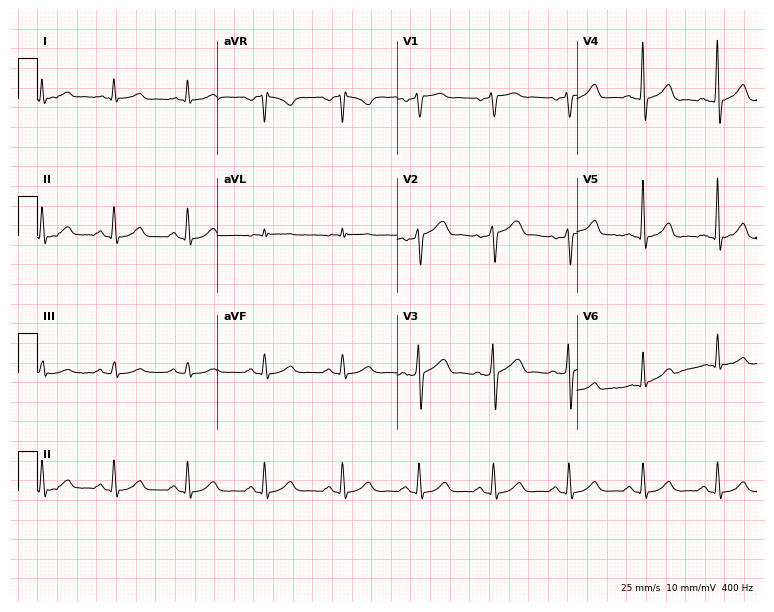
Standard 12-lead ECG recorded from a male, 60 years old. None of these six findings is recorded: first-degree AV block, right bundle branch block, left bundle branch block, sinus bradycardia, atrial fibrillation, sinus tachycardia.